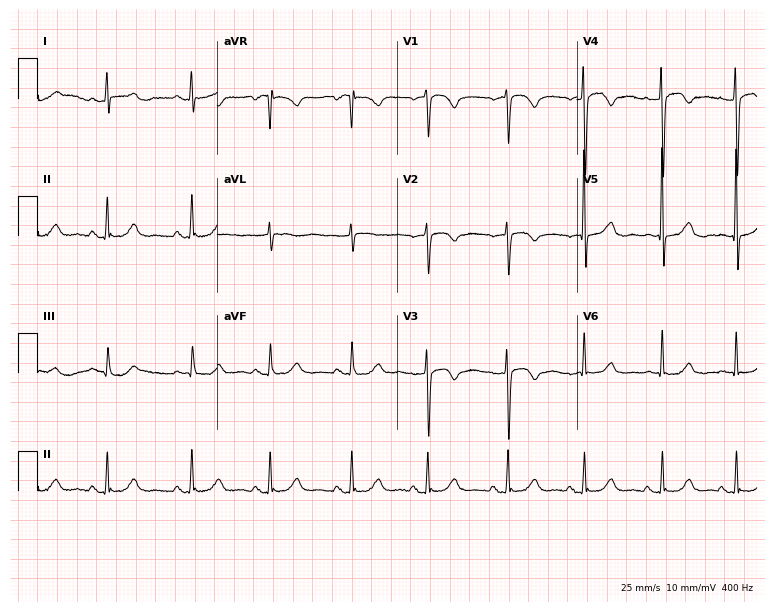
12-lead ECG (7.3-second recording at 400 Hz) from a 65-year-old woman. Labelled as a normal ECG.